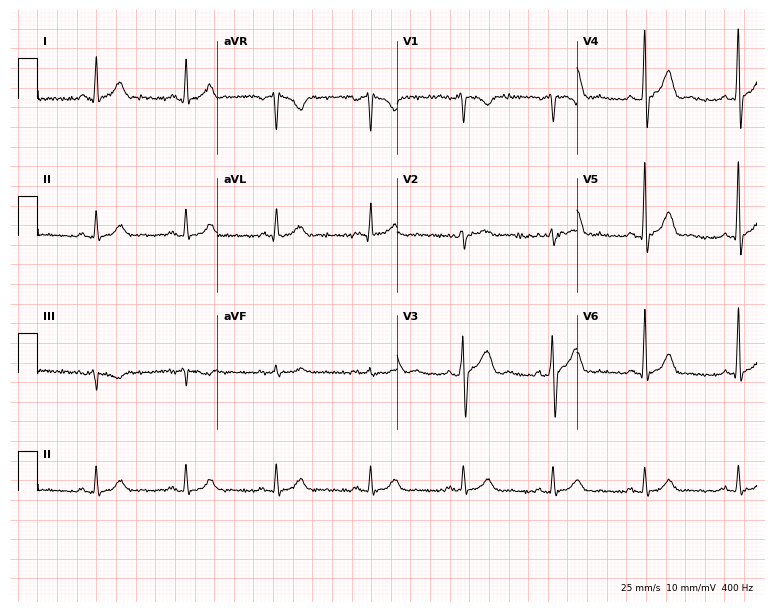
Resting 12-lead electrocardiogram. Patient: a 51-year-old man. Read as a normal ECG.